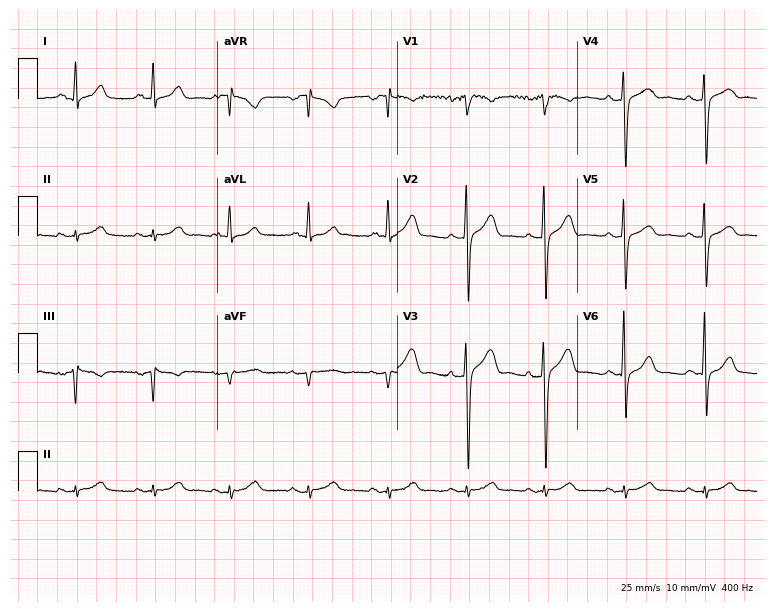
12-lead ECG (7.3-second recording at 400 Hz) from a 52-year-old woman. Screened for six findings — first-degree AV block, right bundle branch block, left bundle branch block, sinus bradycardia, atrial fibrillation, sinus tachycardia — none is recorded. Findings outside these six are not listed.